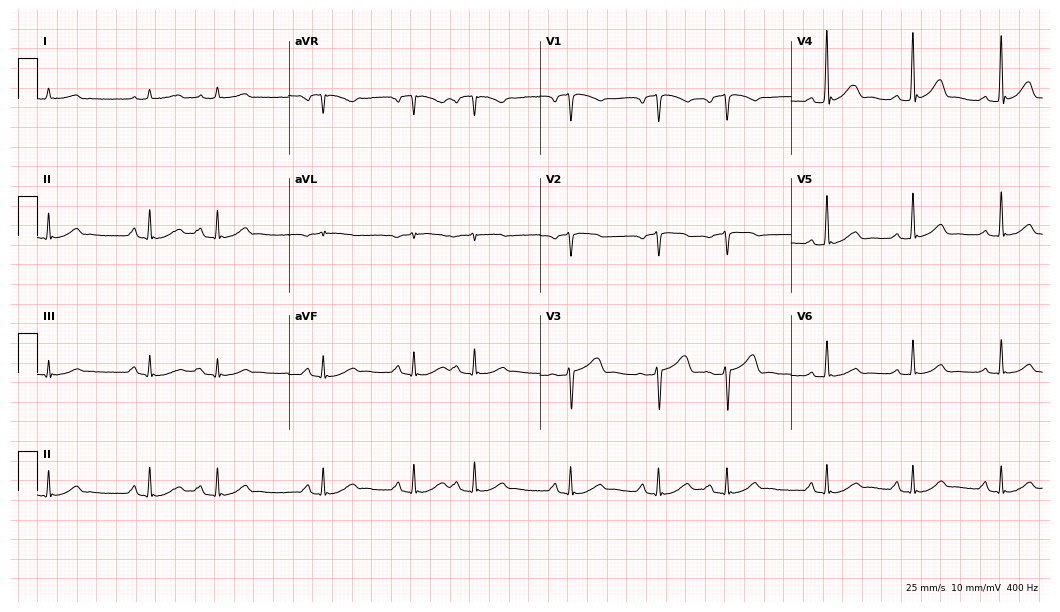
Resting 12-lead electrocardiogram. Patient: an 82-year-old male. None of these six findings is recorded: first-degree AV block, right bundle branch block (RBBB), left bundle branch block (LBBB), sinus bradycardia, atrial fibrillation (AF), sinus tachycardia. Findings outside these six are not listed.